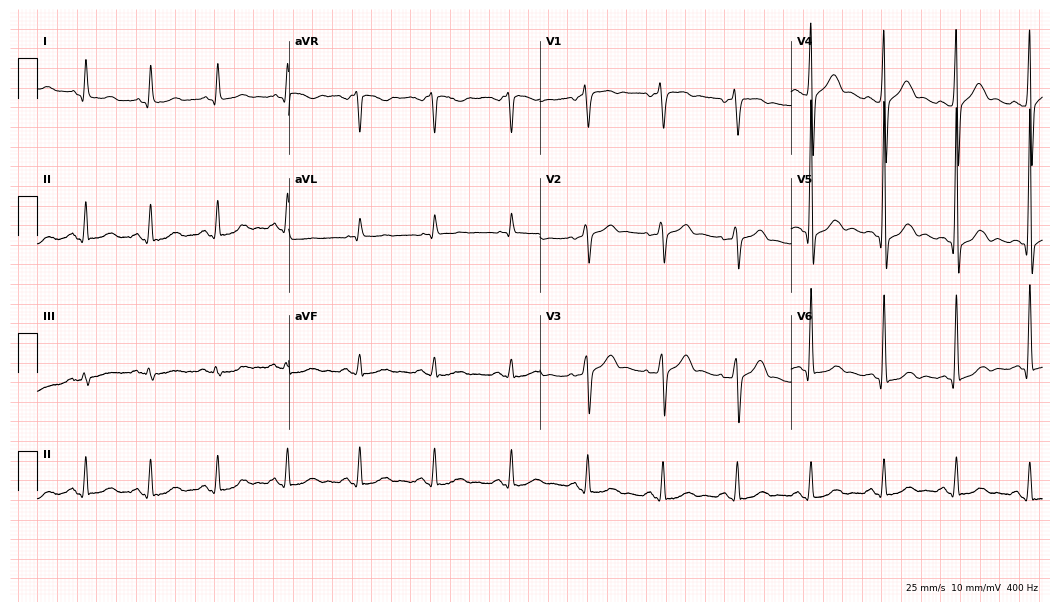
12-lead ECG from a male, 45 years old. Labelled as a normal ECG.